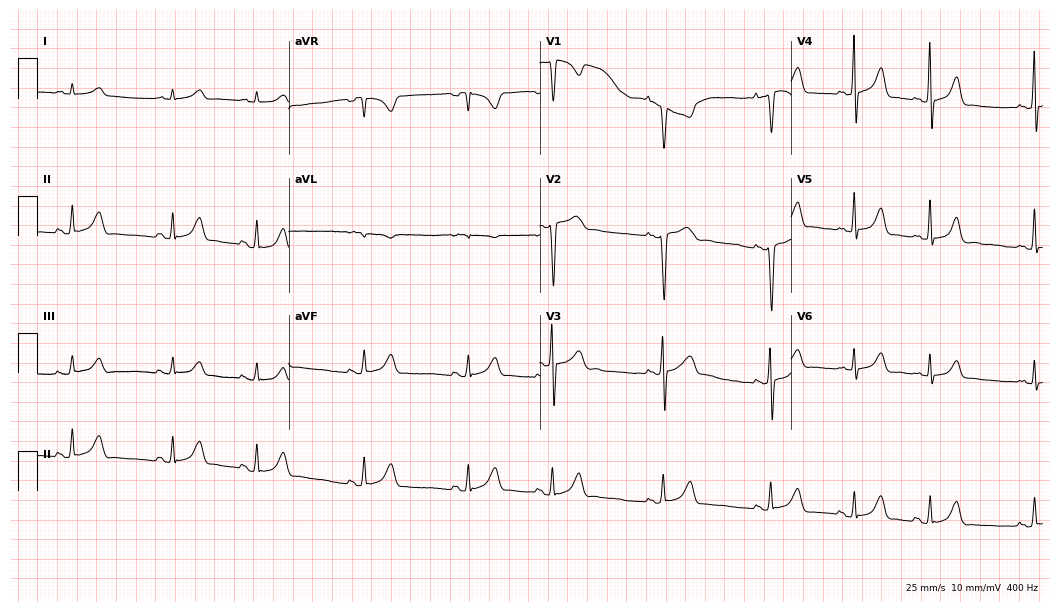
Resting 12-lead electrocardiogram. Patient: a female, 17 years old. Read as a normal ECG.